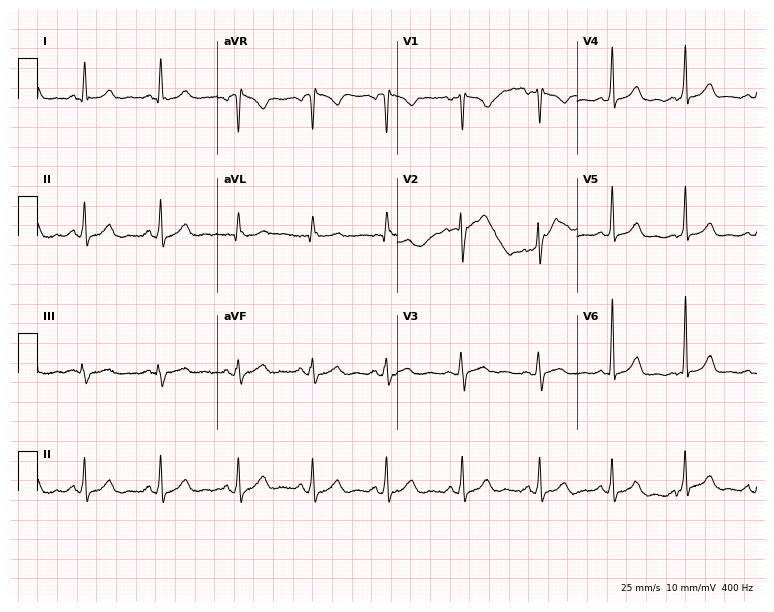
ECG — a woman, 26 years old. Screened for six findings — first-degree AV block, right bundle branch block, left bundle branch block, sinus bradycardia, atrial fibrillation, sinus tachycardia — none is recorded. Only these six findings were labelled.